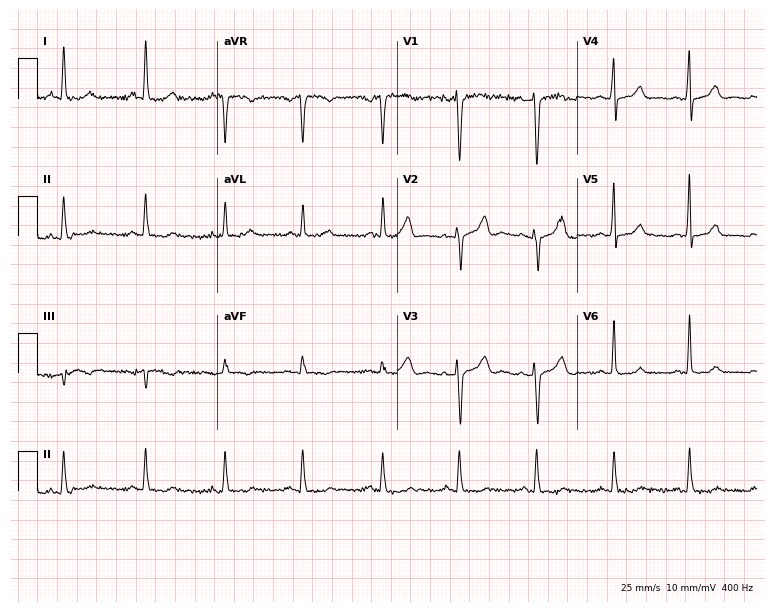
Electrocardiogram (7.3-second recording at 400 Hz), a 48-year-old female. Of the six screened findings (first-degree AV block, right bundle branch block (RBBB), left bundle branch block (LBBB), sinus bradycardia, atrial fibrillation (AF), sinus tachycardia), none is recorded.